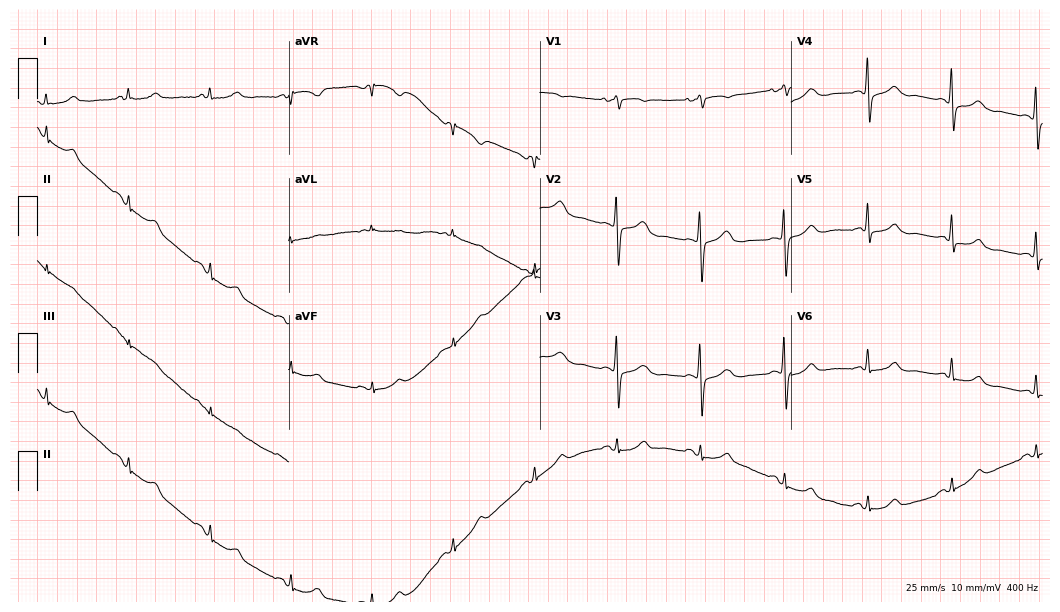
ECG — a female patient, 67 years old. Labelled as a normal ECG.